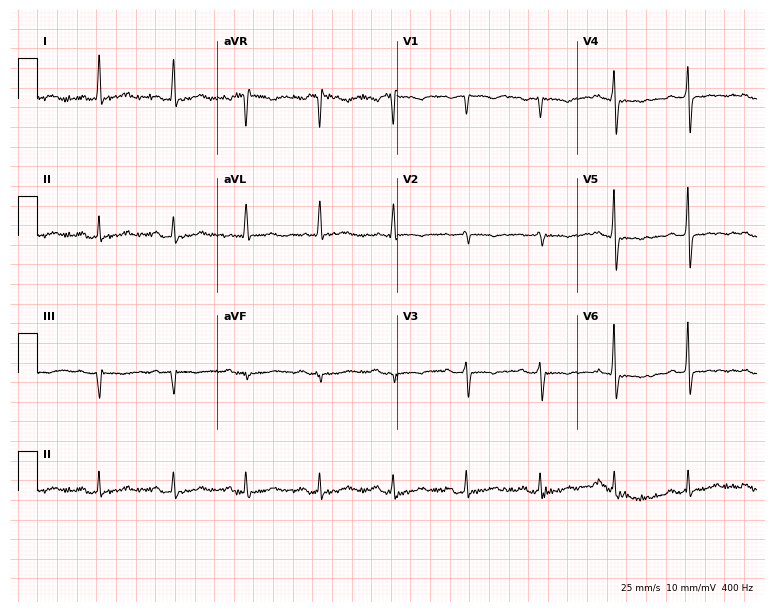
12-lead ECG (7.3-second recording at 400 Hz) from a 71-year-old female. Screened for six findings — first-degree AV block, right bundle branch block, left bundle branch block, sinus bradycardia, atrial fibrillation, sinus tachycardia — none is recorded.